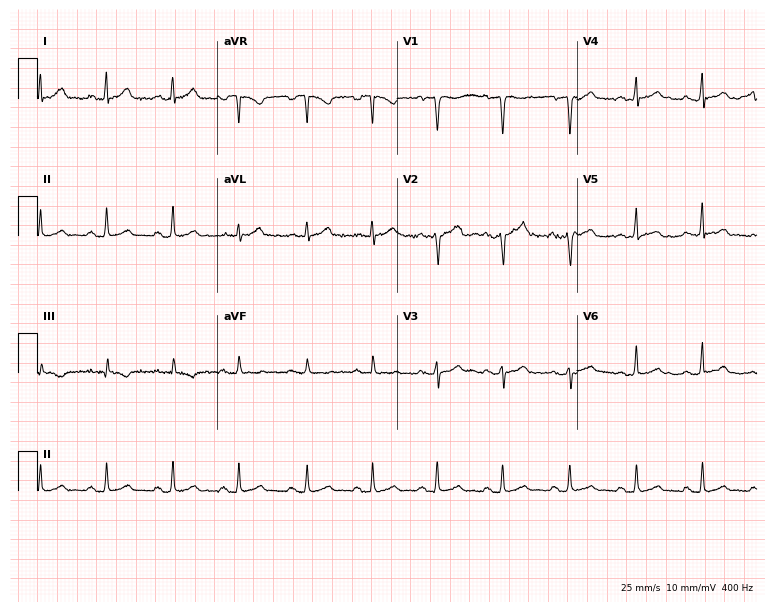
12-lead ECG from a 37-year-old male (7.3-second recording at 400 Hz). Recorded interpretation: within normal limits.